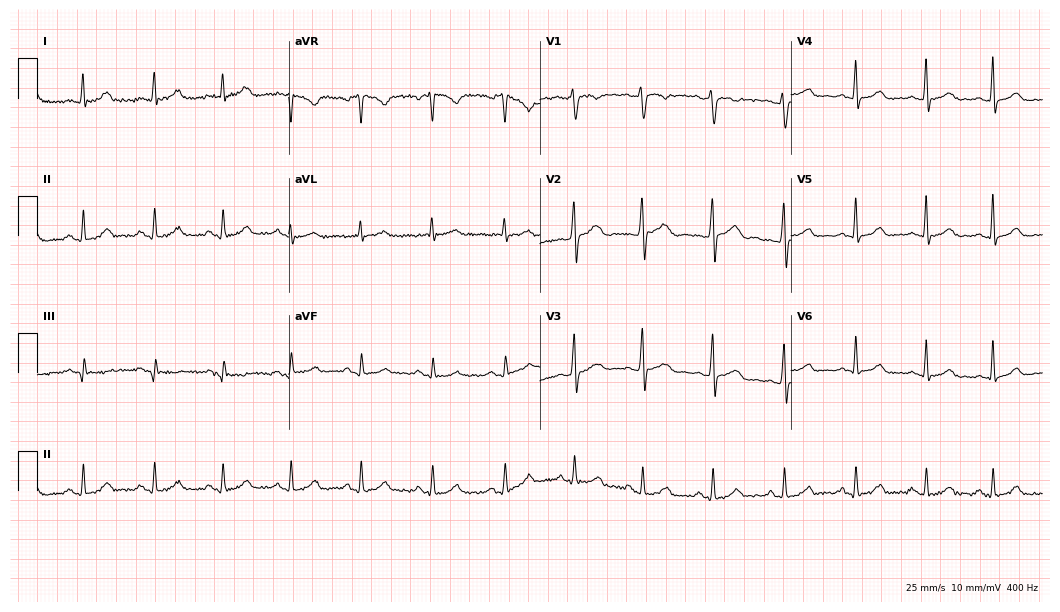
Electrocardiogram, a woman, 43 years old. Overall reading on record: normal ECG.